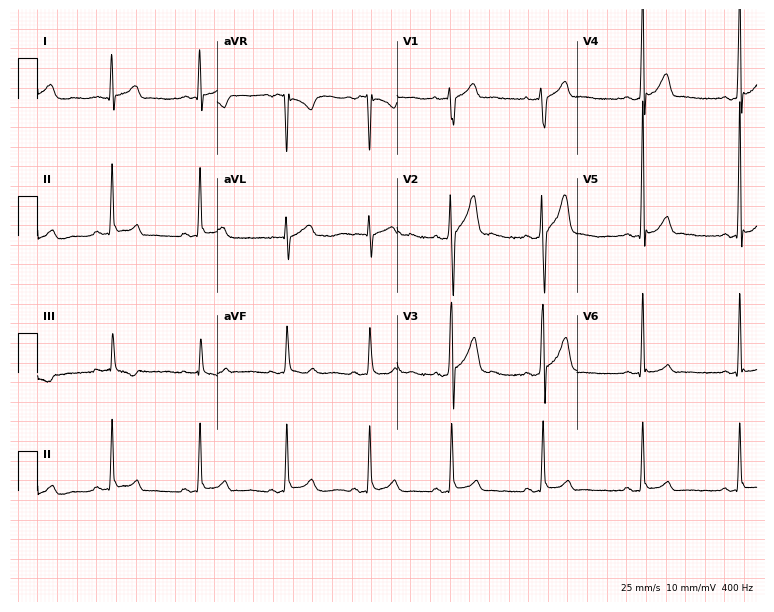
Standard 12-lead ECG recorded from a 21-year-old woman. None of these six findings is recorded: first-degree AV block, right bundle branch block, left bundle branch block, sinus bradycardia, atrial fibrillation, sinus tachycardia.